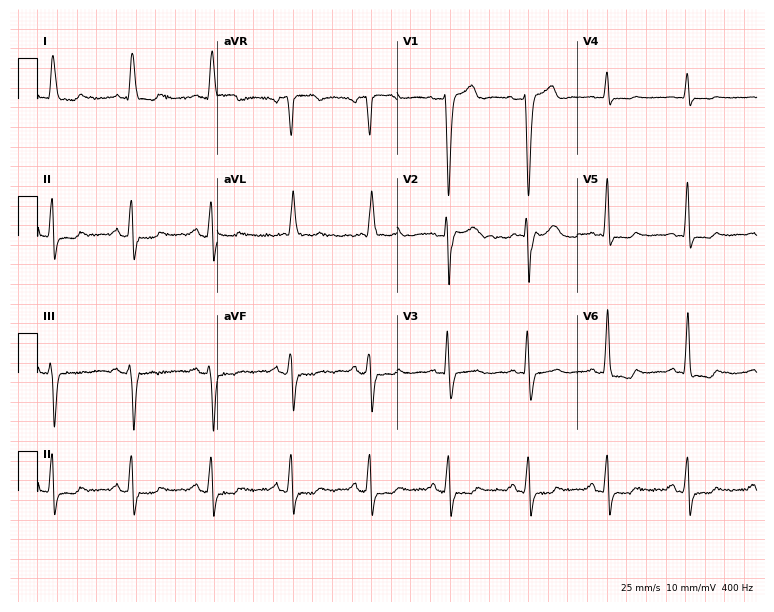
Standard 12-lead ECG recorded from an 84-year-old male. None of these six findings is recorded: first-degree AV block, right bundle branch block, left bundle branch block, sinus bradycardia, atrial fibrillation, sinus tachycardia.